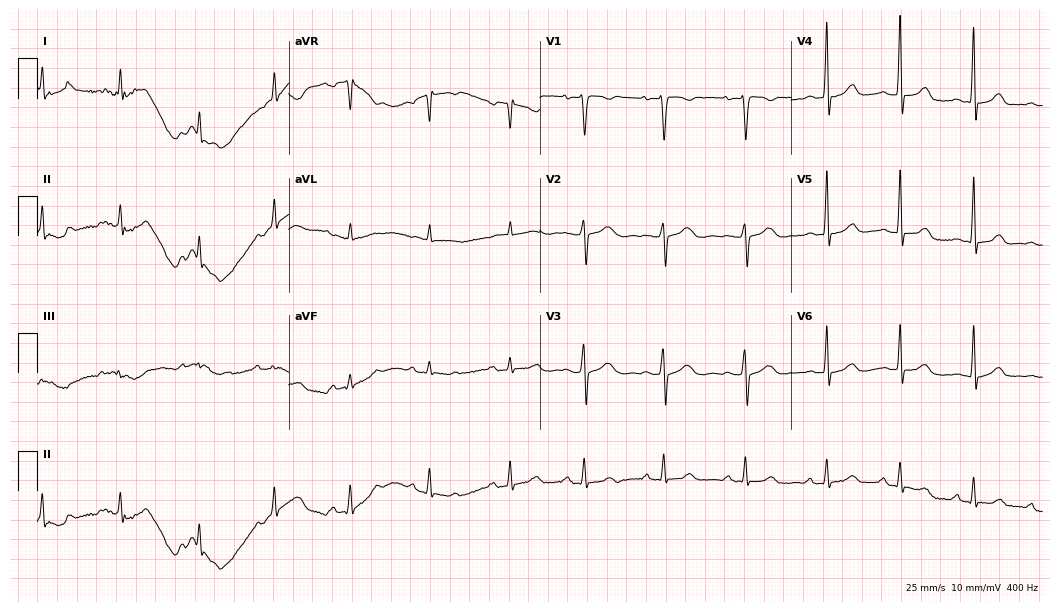
12-lead ECG (10.2-second recording at 400 Hz) from a 25-year-old male patient. Screened for six findings — first-degree AV block, right bundle branch block, left bundle branch block, sinus bradycardia, atrial fibrillation, sinus tachycardia — none is recorded. Only these six findings were labelled.